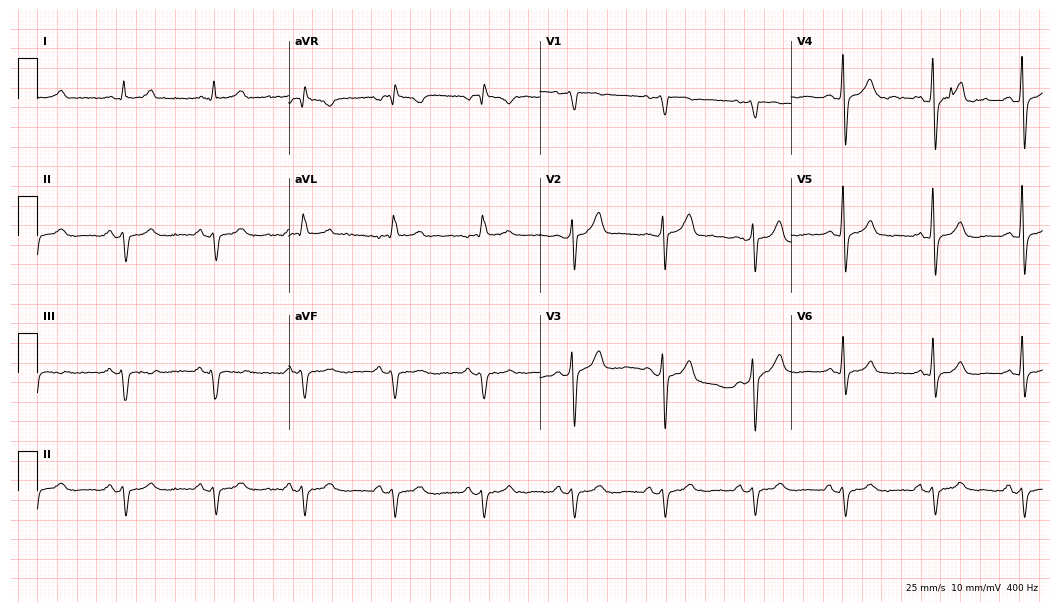
12-lead ECG (10.2-second recording at 400 Hz) from a male, 63 years old. Screened for six findings — first-degree AV block, right bundle branch block, left bundle branch block, sinus bradycardia, atrial fibrillation, sinus tachycardia — none is recorded. Only these six findings were labelled.